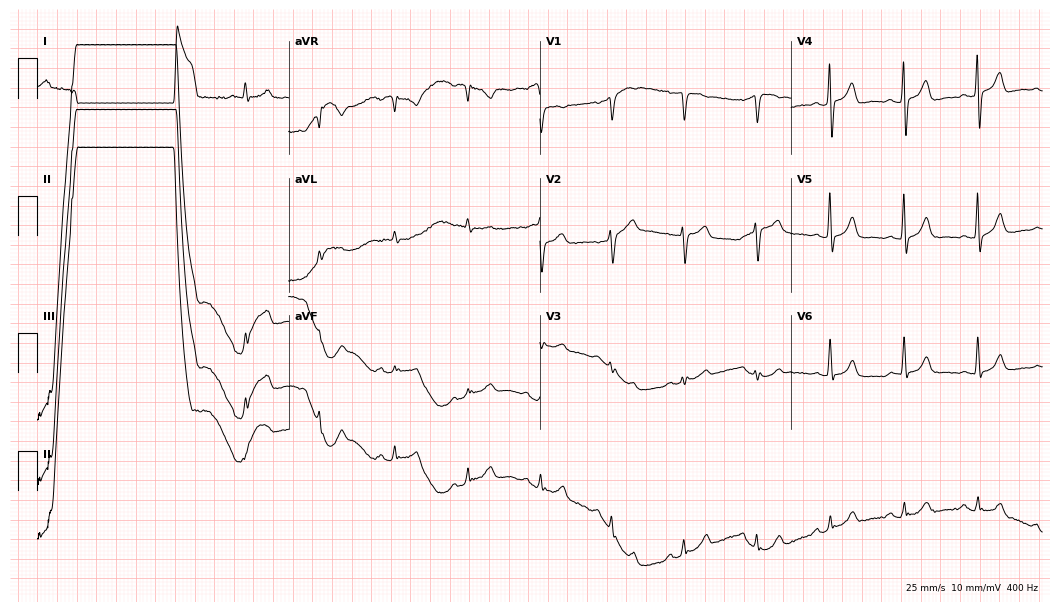
12-lead ECG from an 81-year-old male patient (10.2-second recording at 400 Hz). Recorded interpretation: within normal limits.